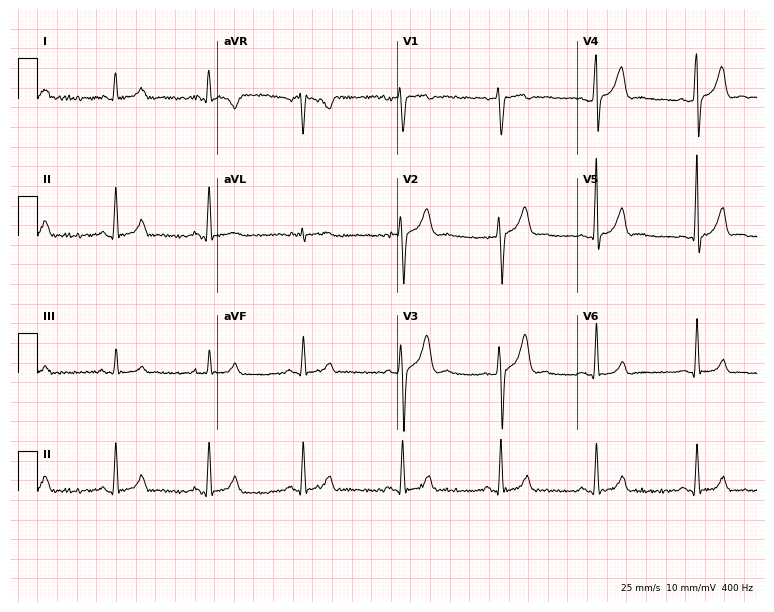
ECG — a male patient, 25 years old. Labelled as a normal ECG.